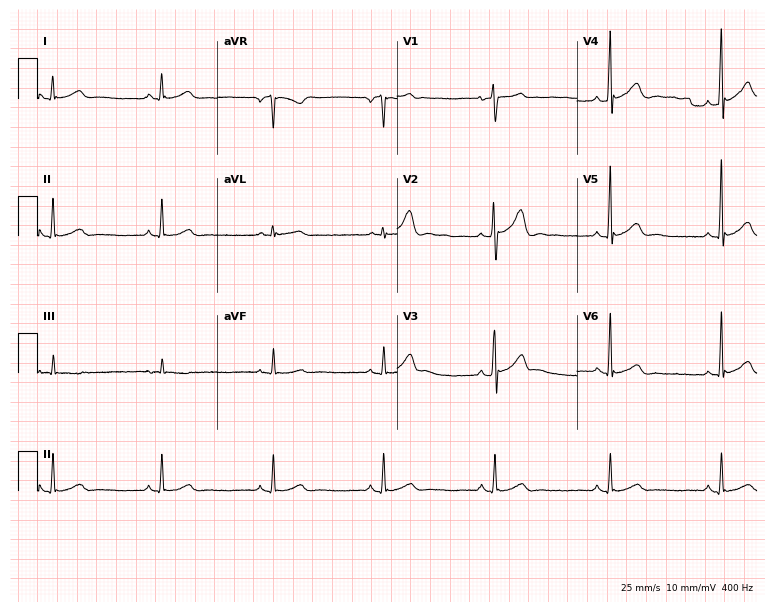
12-lead ECG from a 22-year-old male patient. Recorded interpretation: within normal limits.